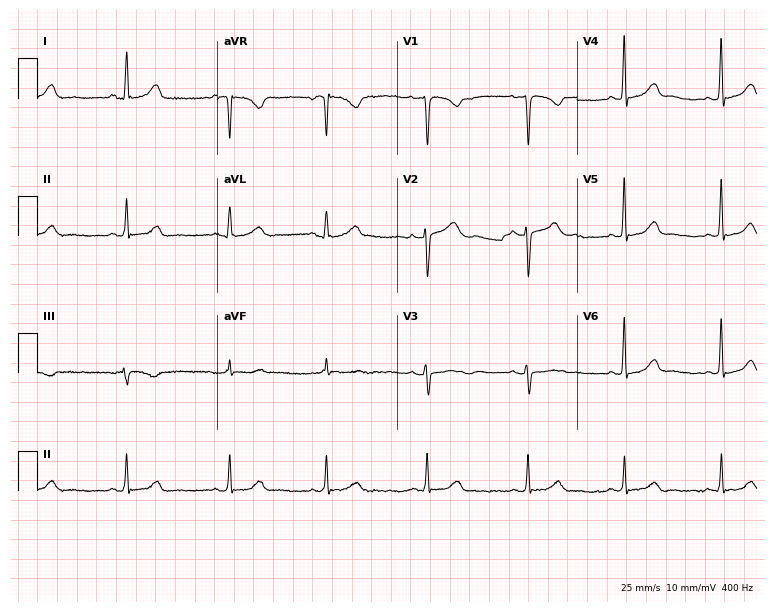
12-lead ECG (7.3-second recording at 400 Hz) from a female patient, 44 years old. Labelled as a normal ECG.